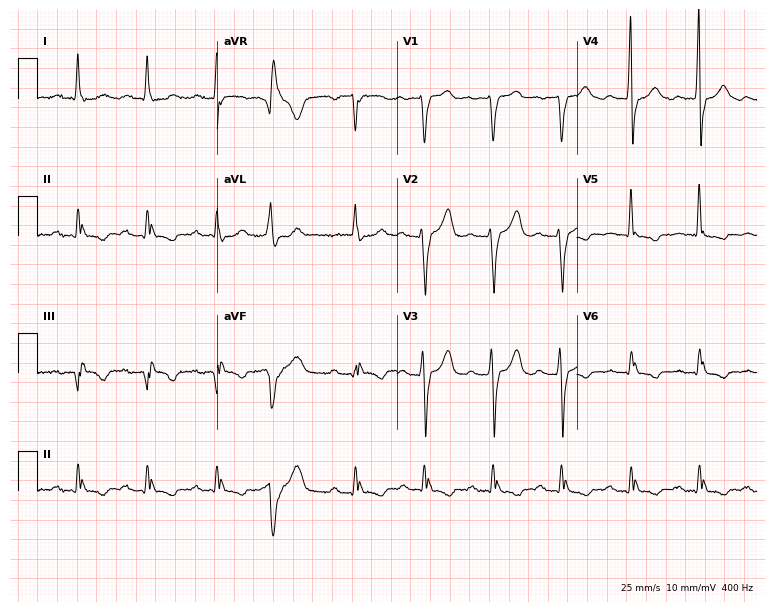
Resting 12-lead electrocardiogram. Patient: a male, 81 years old. None of these six findings is recorded: first-degree AV block, right bundle branch block, left bundle branch block, sinus bradycardia, atrial fibrillation, sinus tachycardia. Findings outside these six are not listed.